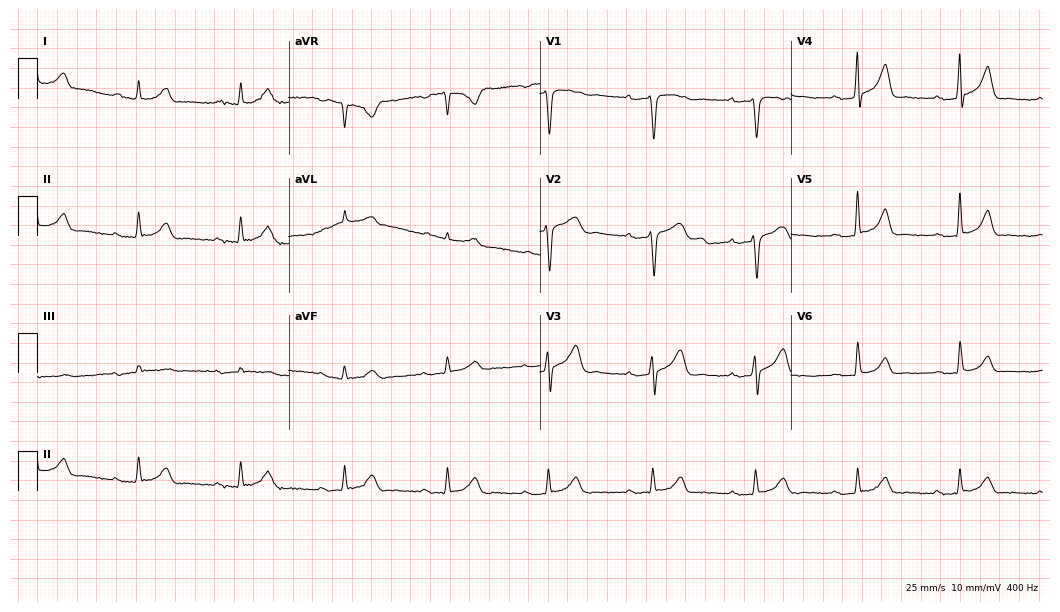
12-lead ECG from a 44-year-old man (10.2-second recording at 400 Hz). Shows first-degree AV block.